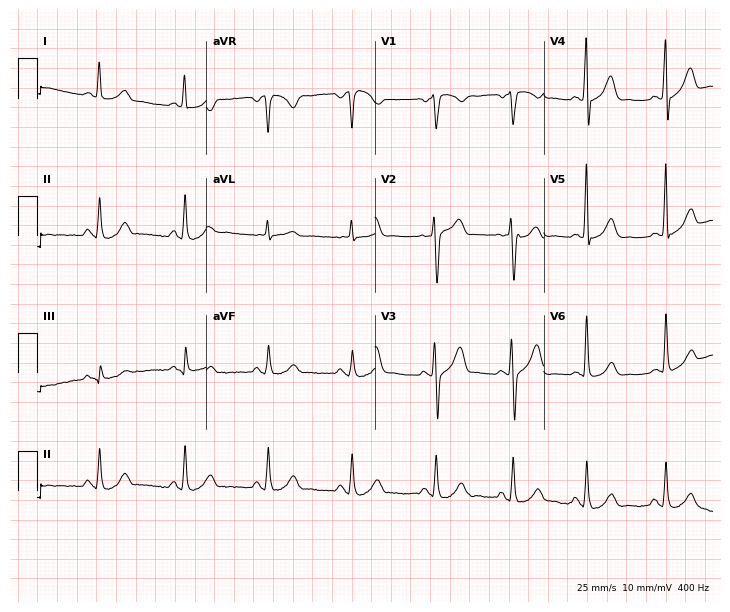
ECG — a male, 41 years old. Screened for six findings — first-degree AV block, right bundle branch block, left bundle branch block, sinus bradycardia, atrial fibrillation, sinus tachycardia — none is recorded.